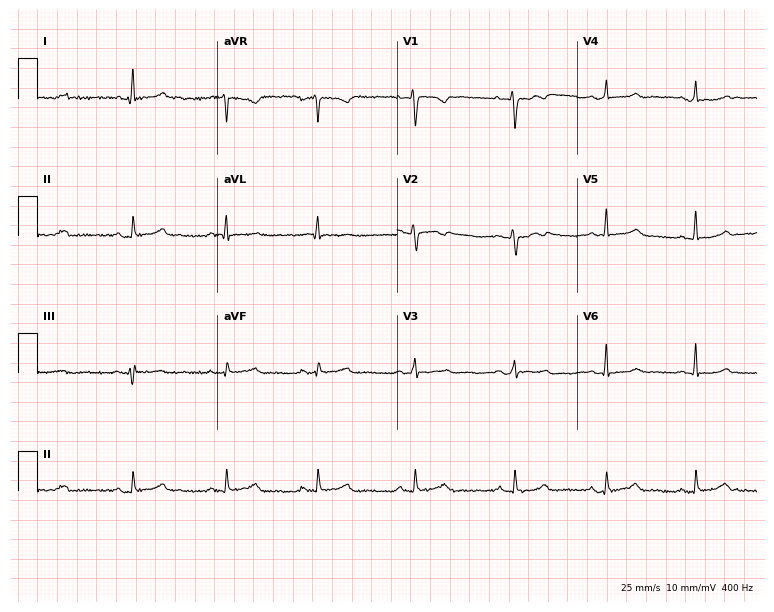
12-lead ECG from a 37-year-old woman (7.3-second recording at 400 Hz). No first-degree AV block, right bundle branch block, left bundle branch block, sinus bradycardia, atrial fibrillation or sinus tachycardia recorded for this tracing.